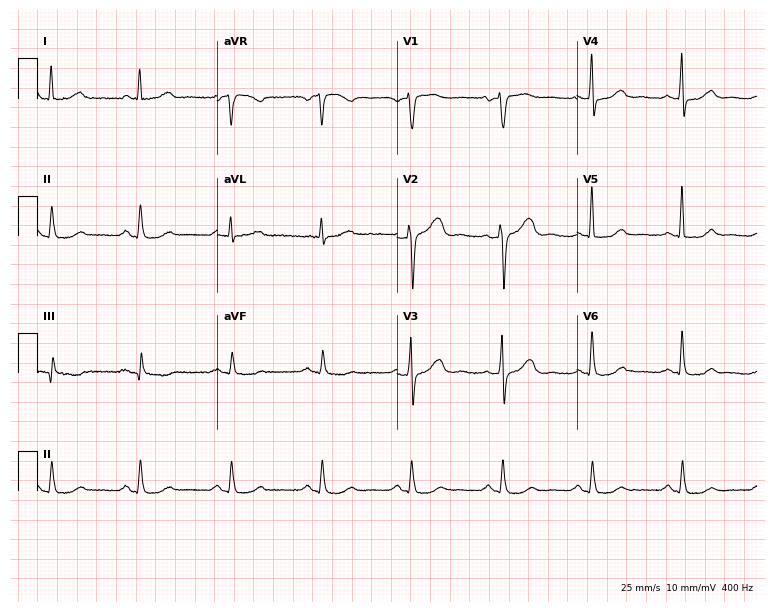
12-lead ECG from a 55-year-old male. Screened for six findings — first-degree AV block, right bundle branch block, left bundle branch block, sinus bradycardia, atrial fibrillation, sinus tachycardia — none is recorded. Other findings, if any, are not listed.